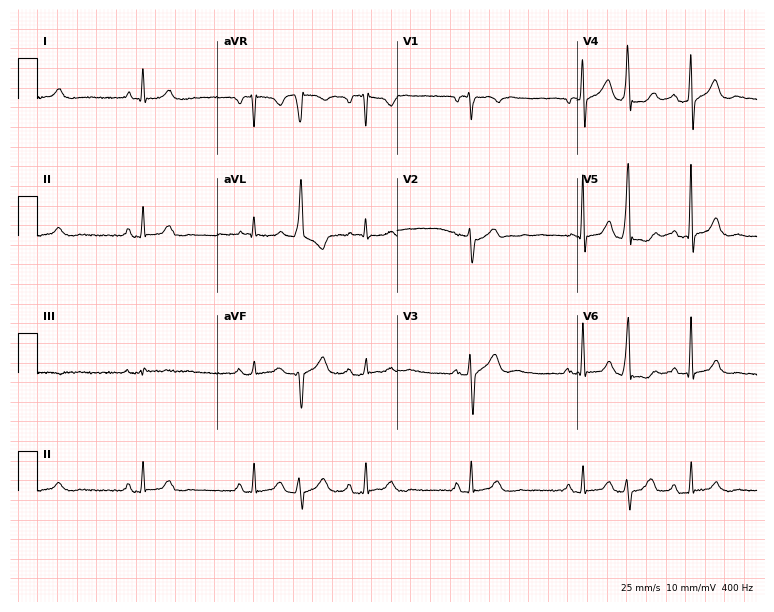
12-lead ECG from a 62-year-old female patient (7.3-second recording at 400 Hz). No first-degree AV block, right bundle branch block (RBBB), left bundle branch block (LBBB), sinus bradycardia, atrial fibrillation (AF) or sinus tachycardia recorded for this tracing. Findings outside these six are not listed.